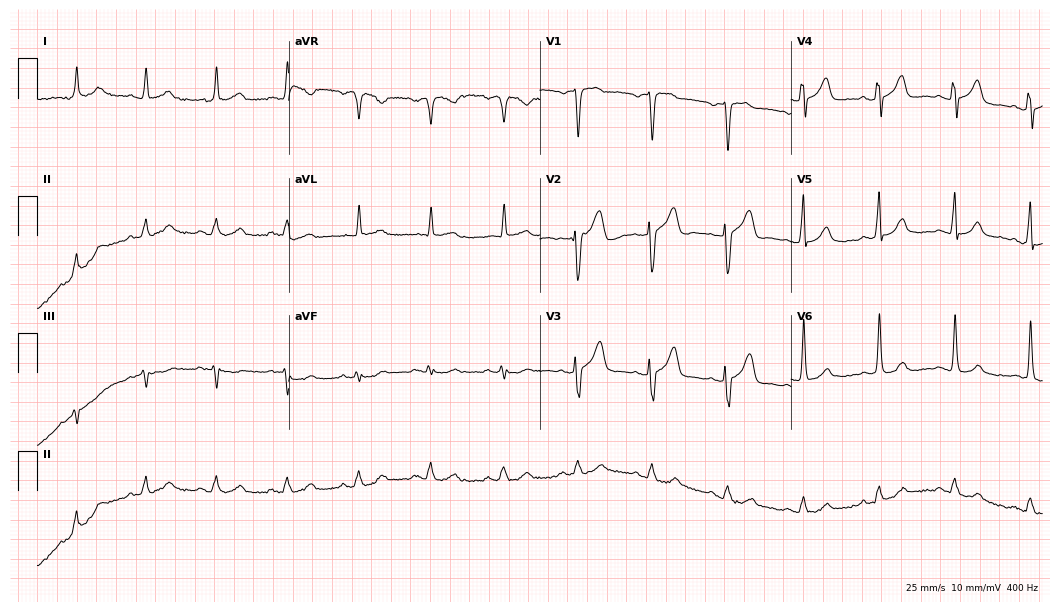
Electrocardiogram (10.2-second recording at 400 Hz), a 72-year-old male. Overall reading on record: normal ECG.